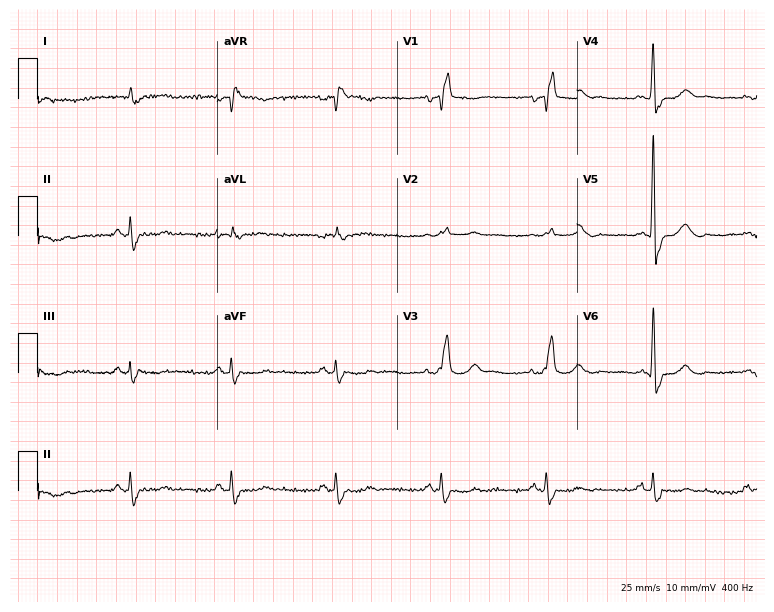
ECG — a male patient, 69 years old. Findings include right bundle branch block (RBBB).